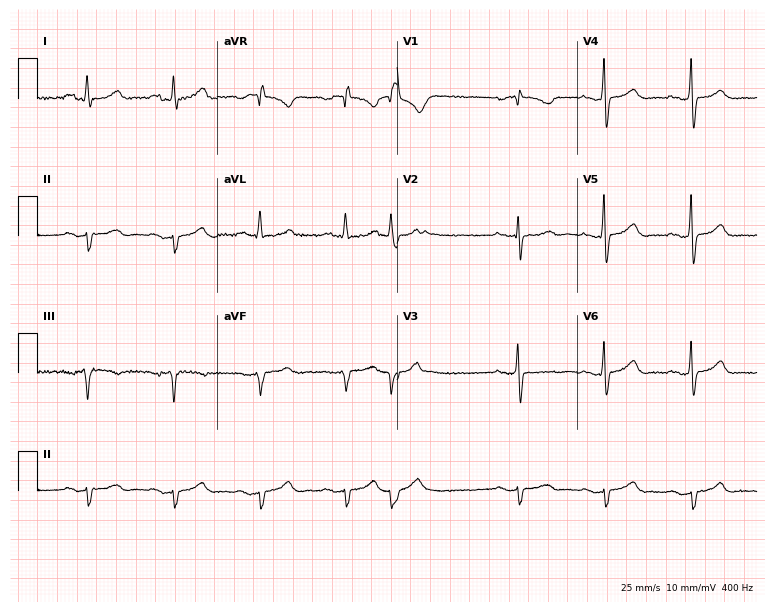
ECG — a 71-year-old female. Screened for six findings — first-degree AV block, right bundle branch block, left bundle branch block, sinus bradycardia, atrial fibrillation, sinus tachycardia — none is recorded. Findings outside these six are not listed.